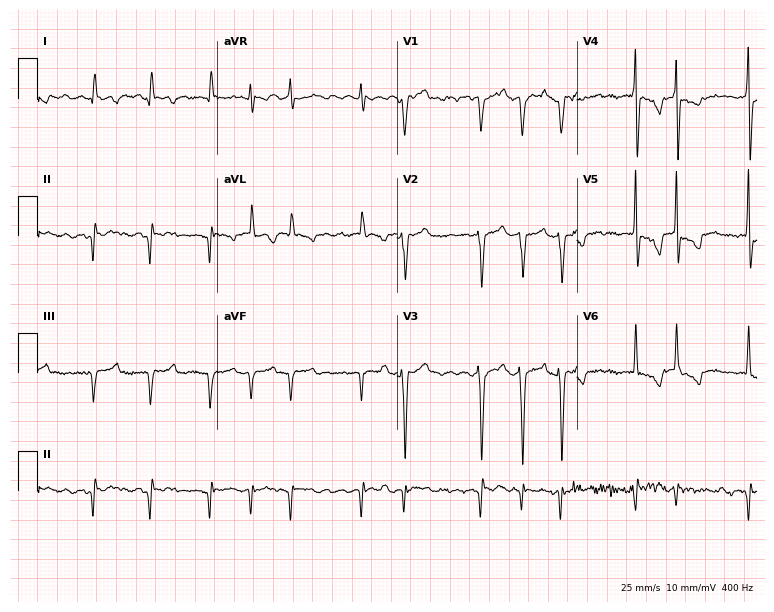
Standard 12-lead ECG recorded from a 71-year-old female. The tracing shows atrial fibrillation.